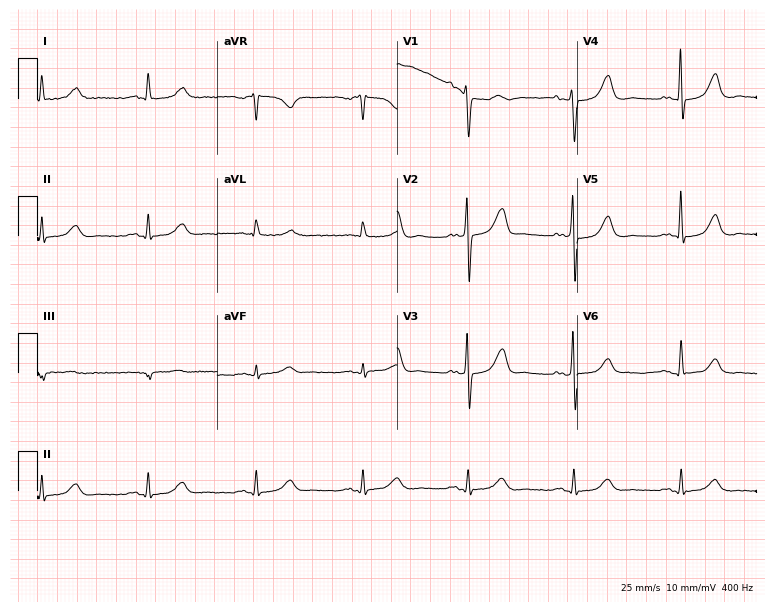
ECG (7.3-second recording at 400 Hz) — a male, 76 years old. Screened for six findings — first-degree AV block, right bundle branch block, left bundle branch block, sinus bradycardia, atrial fibrillation, sinus tachycardia — none is recorded.